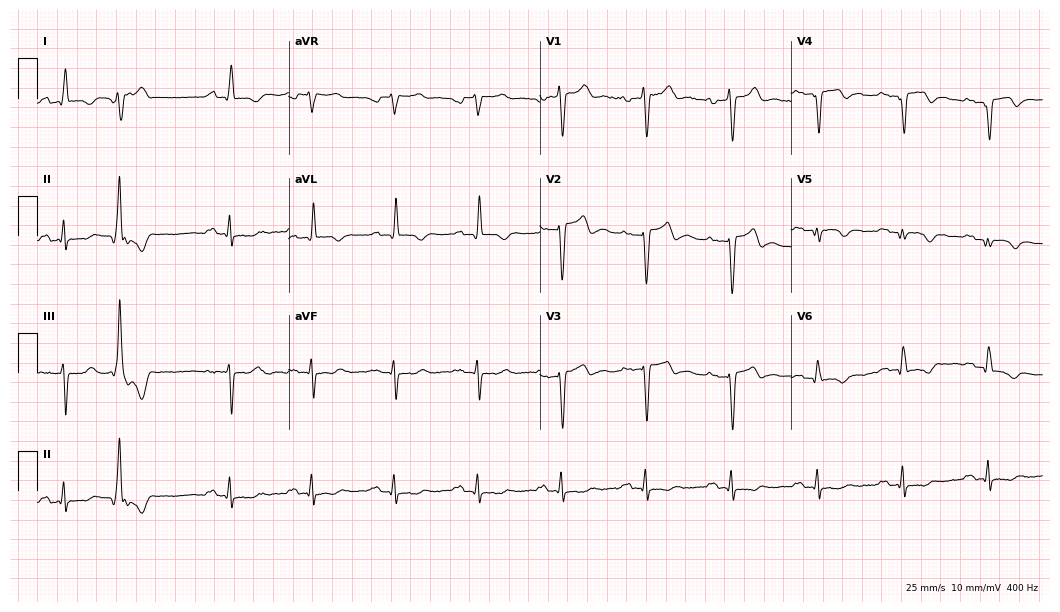
Standard 12-lead ECG recorded from a 74-year-old male. None of these six findings is recorded: first-degree AV block, right bundle branch block, left bundle branch block, sinus bradycardia, atrial fibrillation, sinus tachycardia. Findings outside these six are not listed.